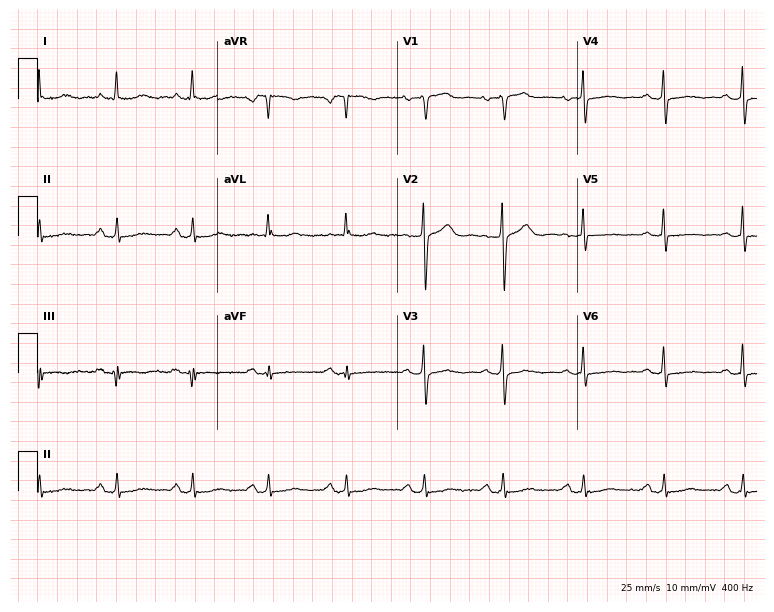
Resting 12-lead electrocardiogram (7.3-second recording at 400 Hz). Patient: a 69-year-old female. None of these six findings is recorded: first-degree AV block, right bundle branch block (RBBB), left bundle branch block (LBBB), sinus bradycardia, atrial fibrillation (AF), sinus tachycardia. Findings outside these six are not listed.